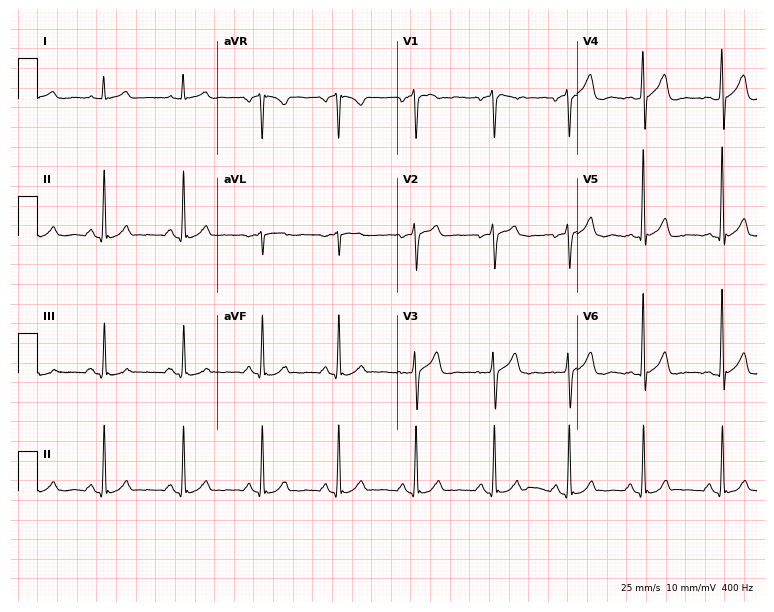
Standard 12-lead ECG recorded from a 48-year-old man (7.3-second recording at 400 Hz). Read as a normal ECG.